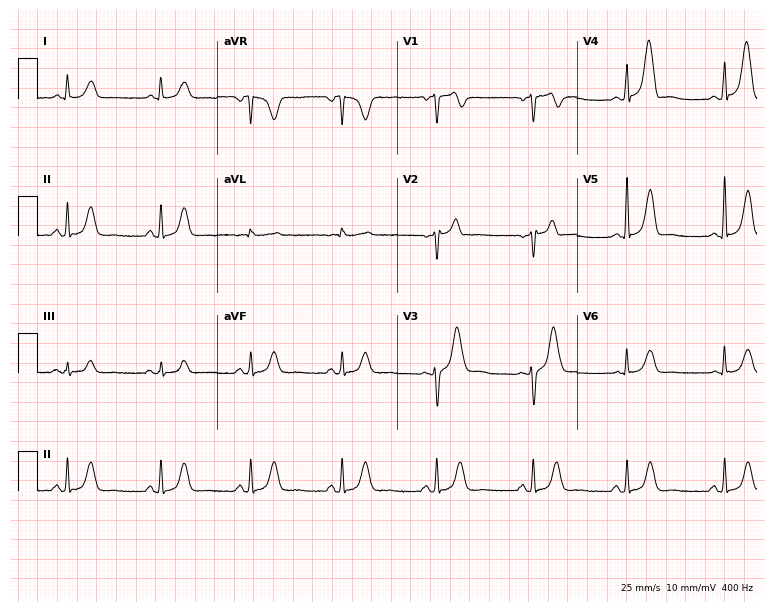
Standard 12-lead ECG recorded from a woman, 50 years old (7.3-second recording at 400 Hz). None of these six findings is recorded: first-degree AV block, right bundle branch block (RBBB), left bundle branch block (LBBB), sinus bradycardia, atrial fibrillation (AF), sinus tachycardia.